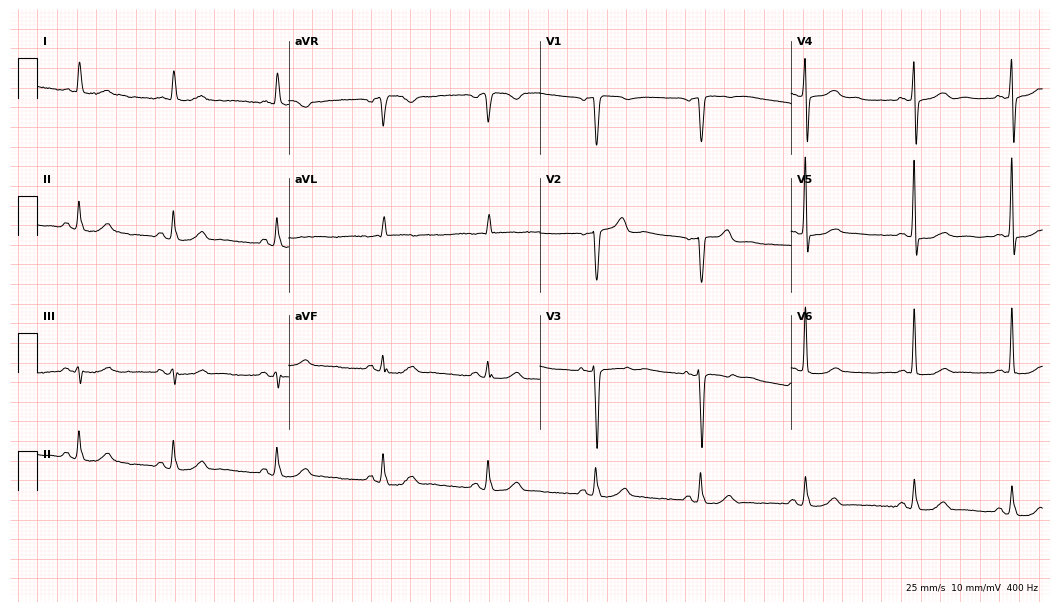
12-lead ECG from a female patient, 76 years old. No first-degree AV block, right bundle branch block, left bundle branch block, sinus bradycardia, atrial fibrillation or sinus tachycardia recorded for this tracing. Only these six findings were labelled.